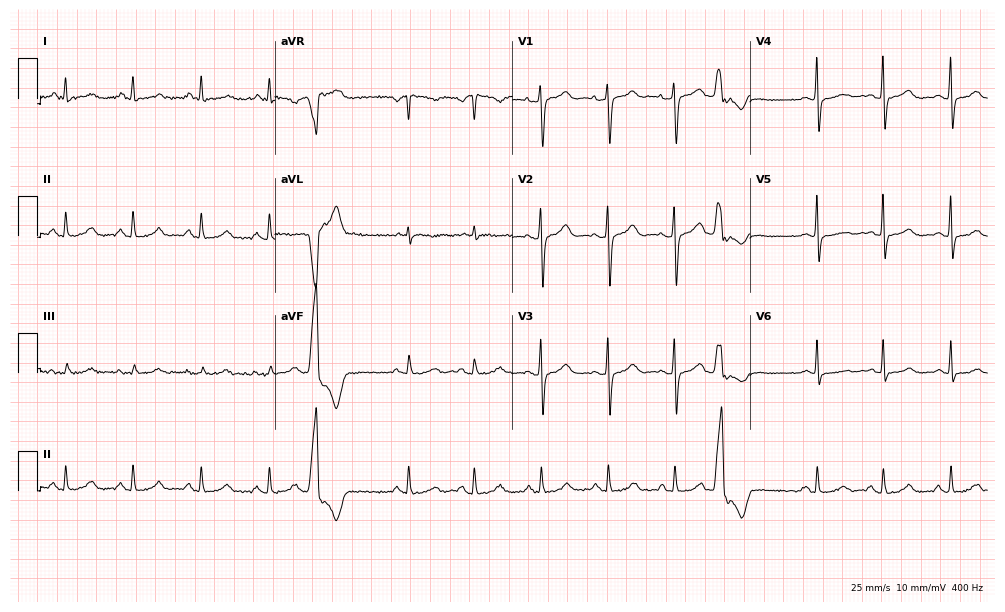
Standard 12-lead ECG recorded from a 54-year-old woman (9.7-second recording at 400 Hz). None of these six findings is recorded: first-degree AV block, right bundle branch block (RBBB), left bundle branch block (LBBB), sinus bradycardia, atrial fibrillation (AF), sinus tachycardia. Only these six findings were labelled.